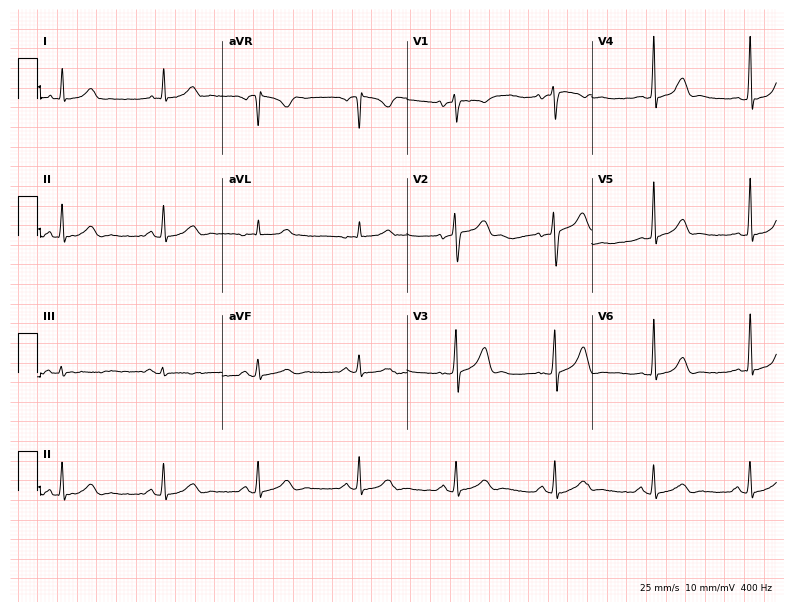
Electrocardiogram (7.5-second recording at 400 Hz), a female, 30 years old. Overall reading on record: normal ECG.